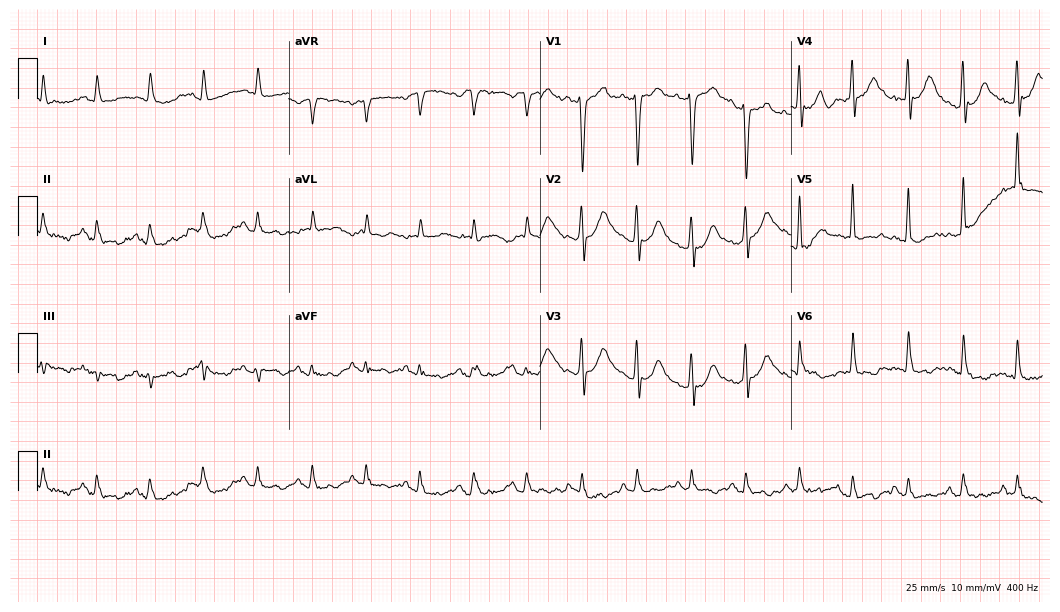
Resting 12-lead electrocardiogram. Patient: a 78-year-old male. None of these six findings is recorded: first-degree AV block, right bundle branch block, left bundle branch block, sinus bradycardia, atrial fibrillation, sinus tachycardia.